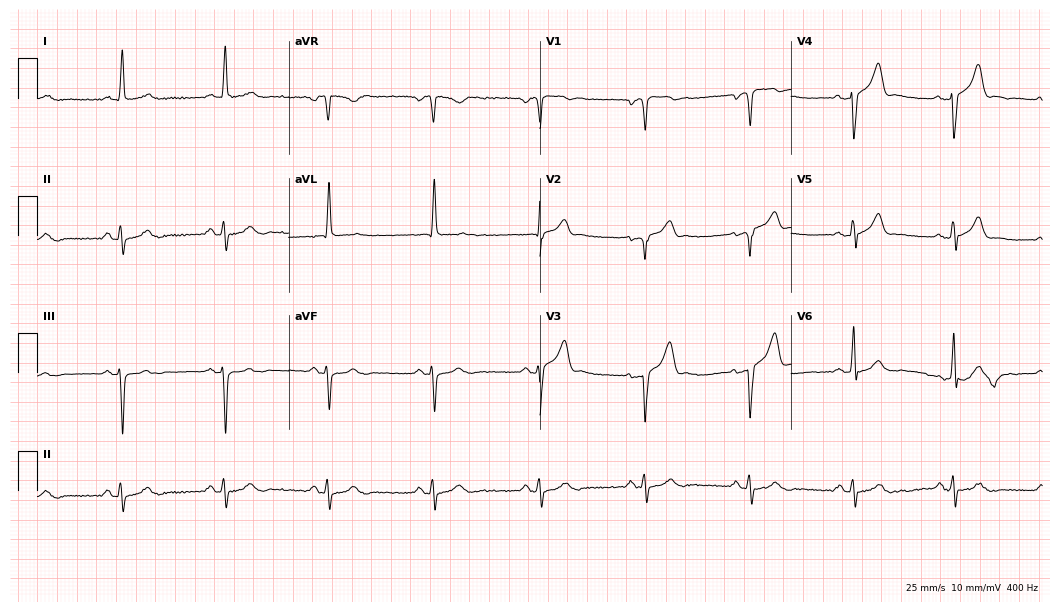
12-lead ECG from a woman, 64 years old. Screened for six findings — first-degree AV block, right bundle branch block (RBBB), left bundle branch block (LBBB), sinus bradycardia, atrial fibrillation (AF), sinus tachycardia — none is recorded. Other findings, if any, are not listed.